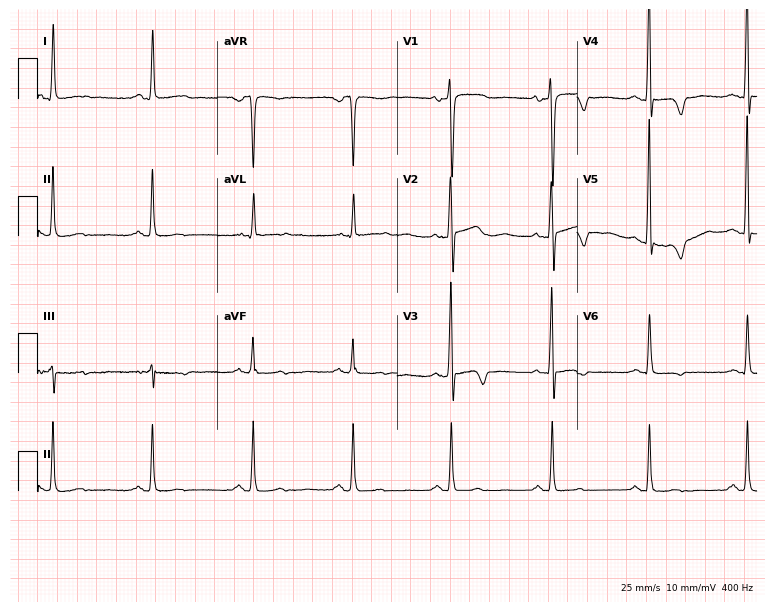
Standard 12-lead ECG recorded from a 56-year-old female (7.3-second recording at 400 Hz). Read as a normal ECG.